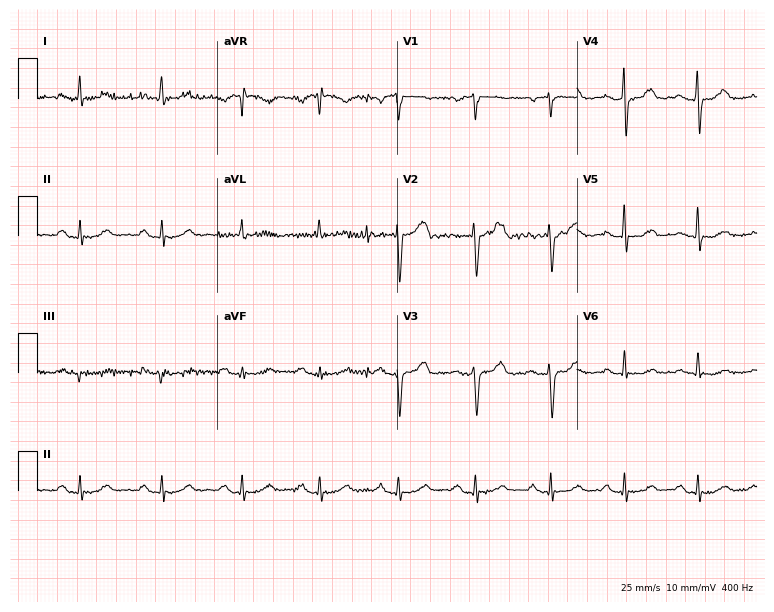
ECG — a female patient, 63 years old. Labelled as a normal ECG.